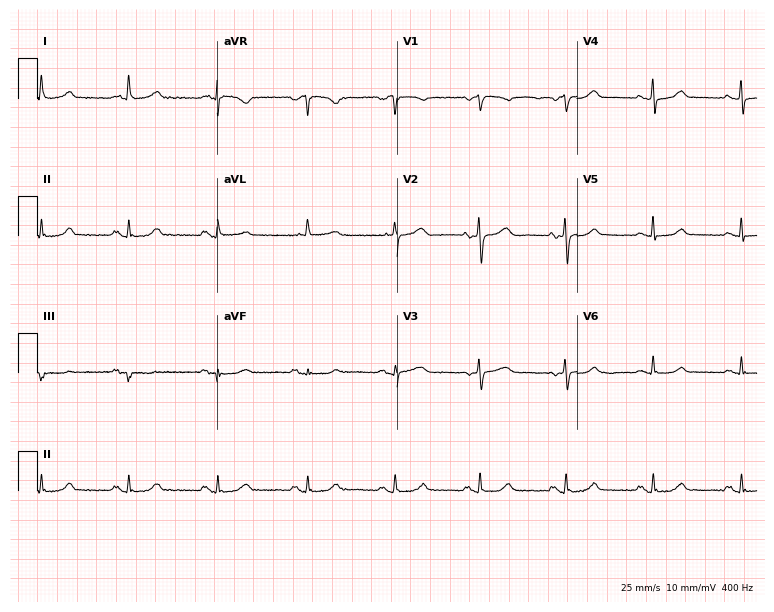
12-lead ECG from a 58-year-old female patient. Labelled as a normal ECG.